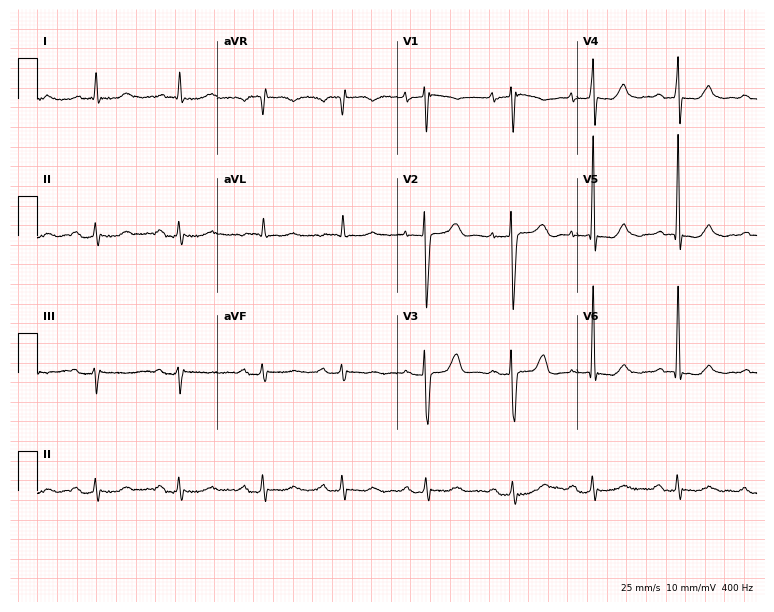
ECG — a female patient, 81 years old. Screened for six findings — first-degree AV block, right bundle branch block (RBBB), left bundle branch block (LBBB), sinus bradycardia, atrial fibrillation (AF), sinus tachycardia — none is recorded. Other findings, if any, are not listed.